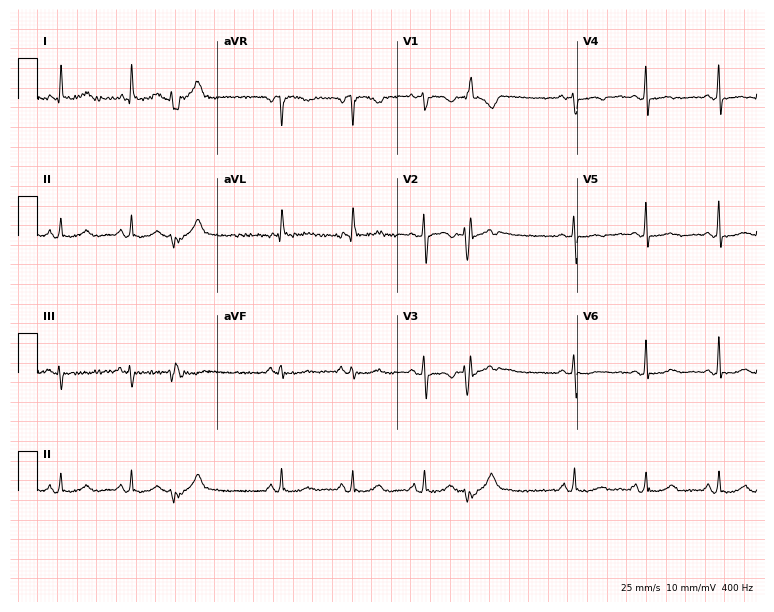
ECG — a female, 53 years old. Screened for six findings — first-degree AV block, right bundle branch block (RBBB), left bundle branch block (LBBB), sinus bradycardia, atrial fibrillation (AF), sinus tachycardia — none is recorded. Findings outside these six are not listed.